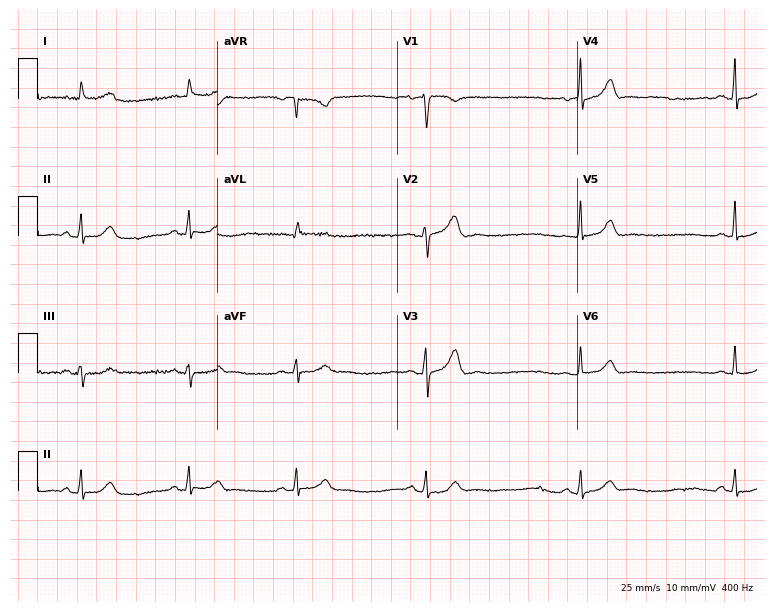
Resting 12-lead electrocardiogram (7.3-second recording at 400 Hz). Patient: a 62-year-old woman. Read as a normal ECG.